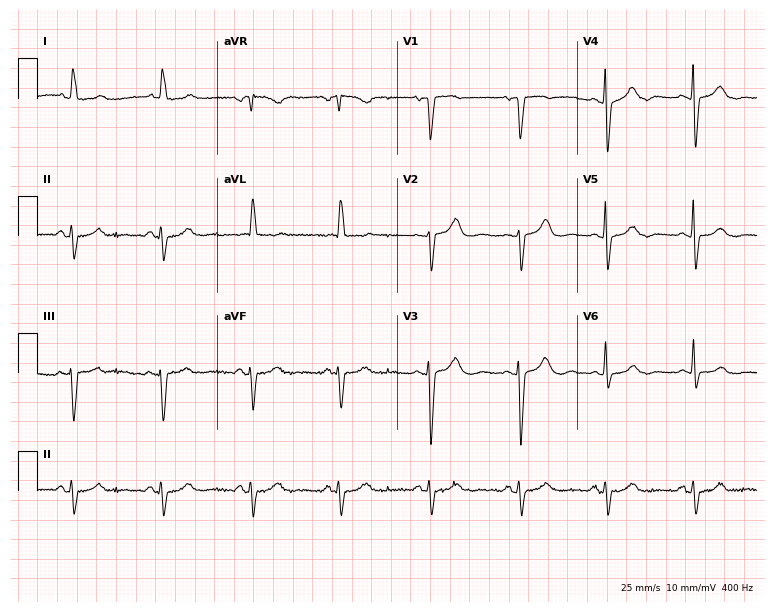
Electrocardiogram (7.3-second recording at 400 Hz), a 56-year-old female patient. Of the six screened findings (first-degree AV block, right bundle branch block (RBBB), left bundle branch block (LBBB), sinus bradycardia, atrial fibrillation (AF), sinus tachycardia), none is recorded. Findings outside these six are not listed.